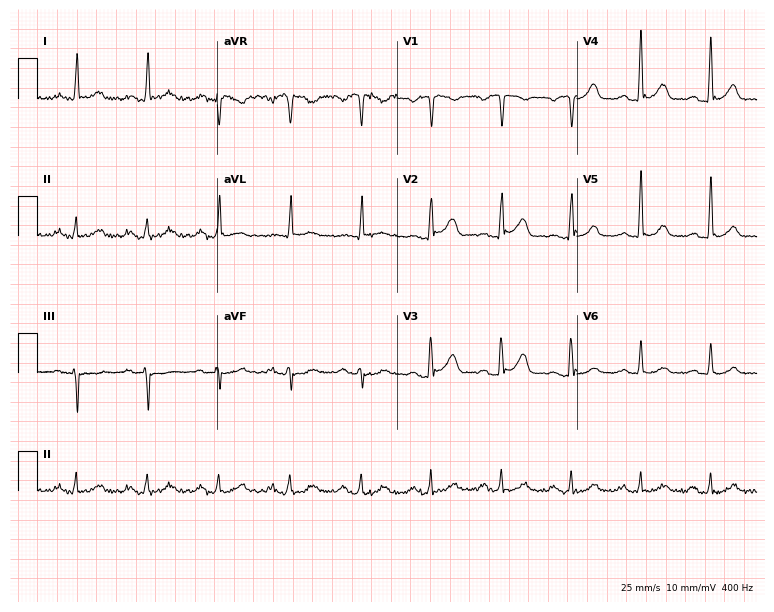
Resting 12-lead electrocardiogram. Patient: a 67-year-old man. Read as a normal ECG.